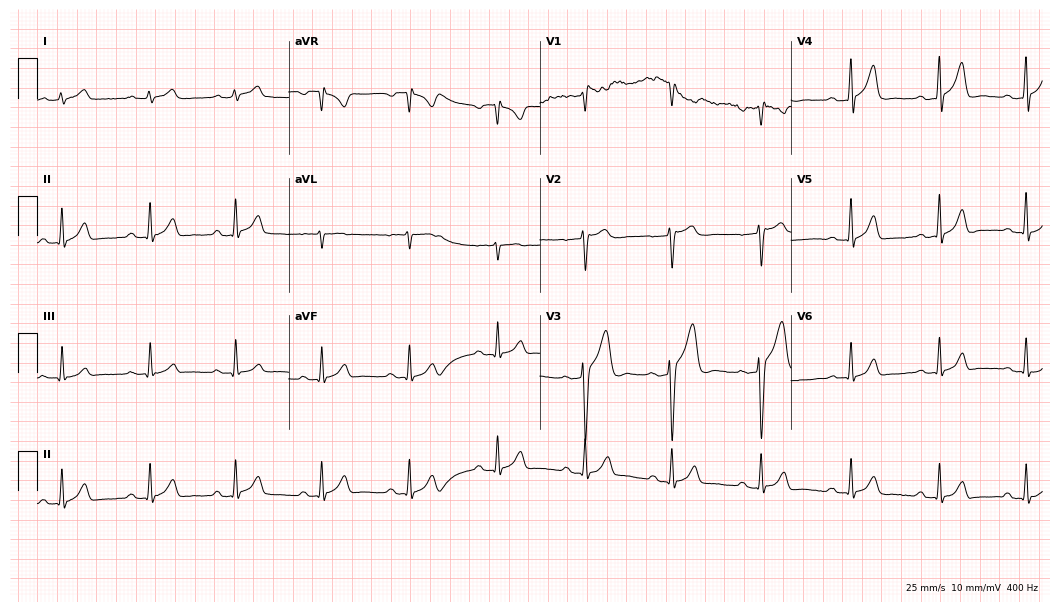
12-lead ECG from a male patient, 41 years old (10.2-second recording at 400 Hz). Recorded interpretation: within normal limits.